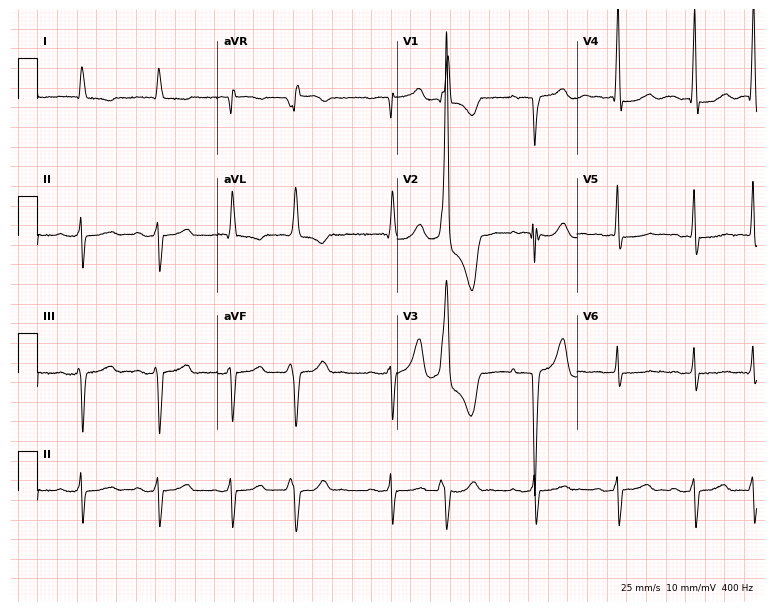
Resting 12-lead electrocardiogram (7.3-second recording at 400 Hz). Patient: an 84-year-old male. None of these six findings is recorded: first-degree AV block, right bundle branch block, left bundle branch block, sinus bradycardia, atrial fibrillation, sinus tachycardia. Other findings, if any, are not listed.